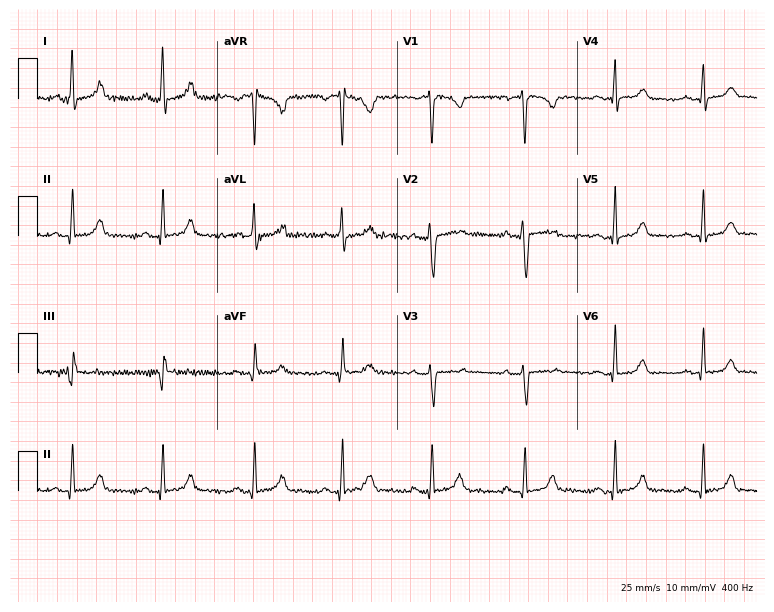
12-lead ECG from a 35-year-old woman. Labelled as a normal ECG.